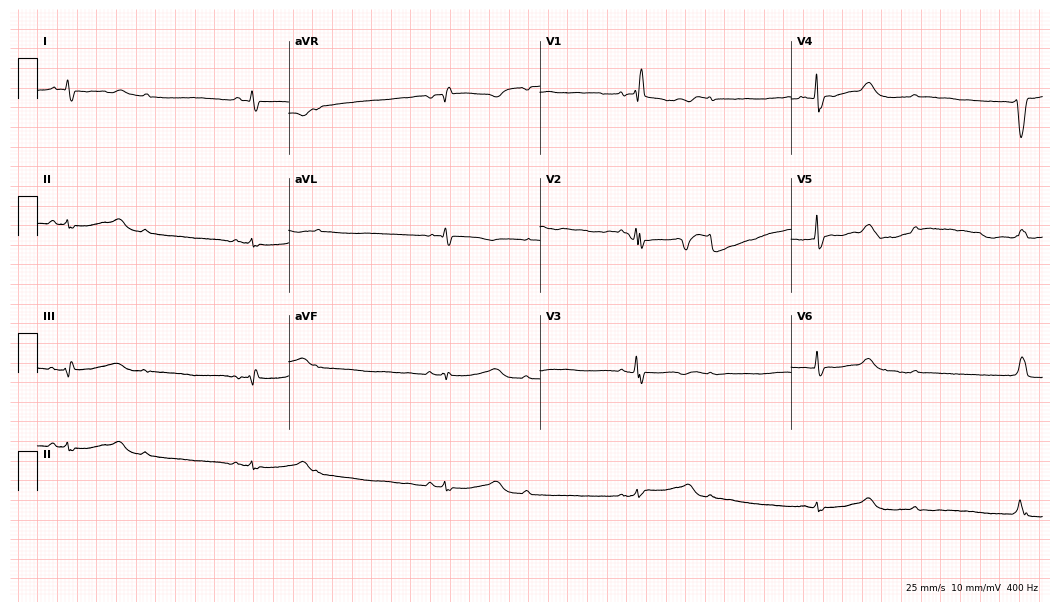
Electrocardiogram (10.2-second recording at 400 Hz), a 67-year-old male patient. Interpretation includes left bundle branch block (LBBB).